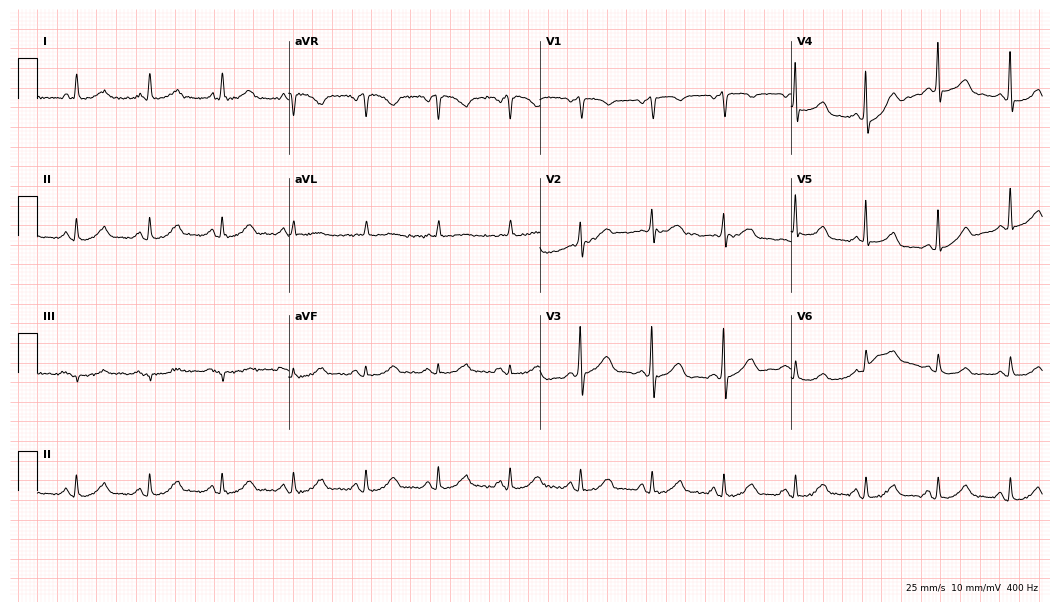
ECG — a female patient, 77 years old. Labelled as a normal ECG.